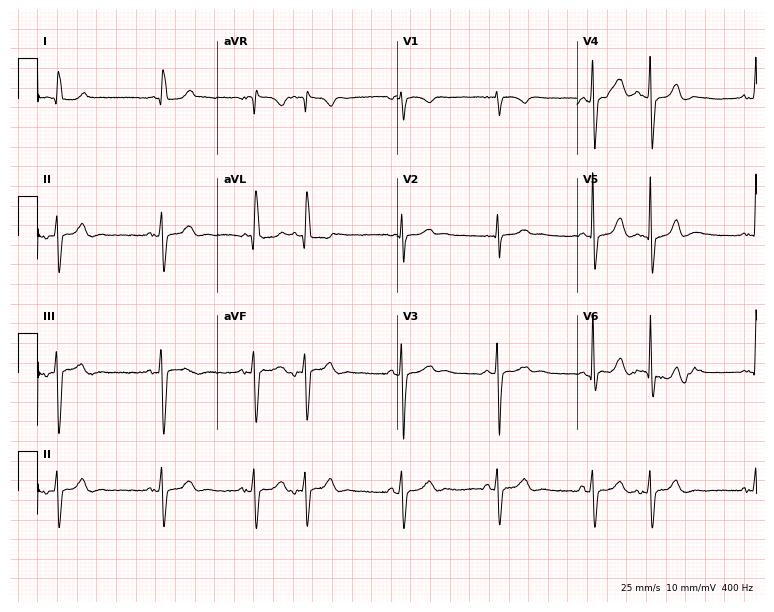
Standard 12-lead ECG recorded from a 71-year-old female. Read as a normal ECG.